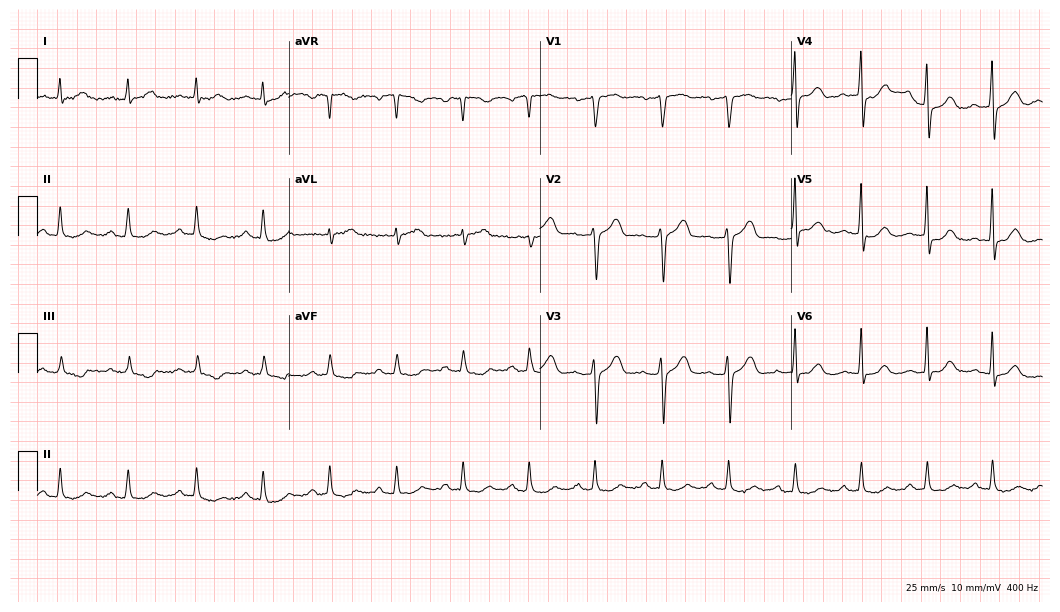
12-lead ECG from a man, 61 years old. Labelled as a normal ECG.